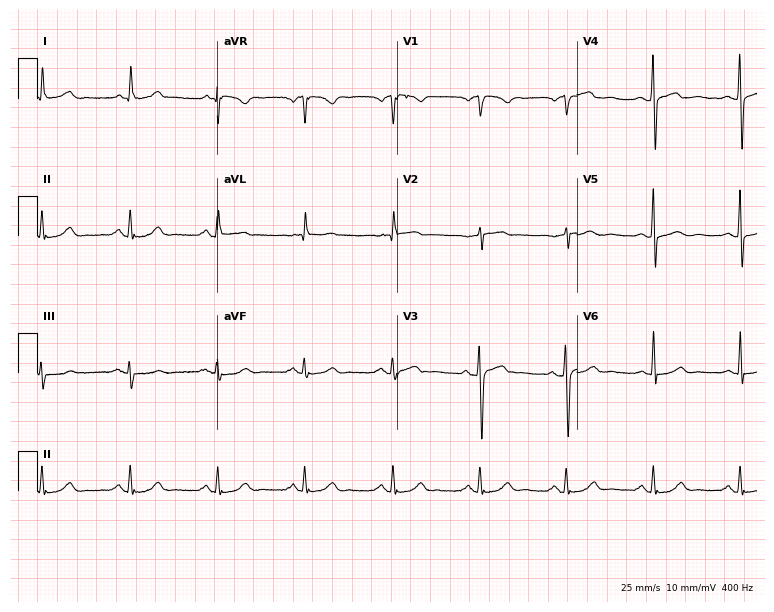
Resting 12-lead electrocardiogram. Patient: a 79-year-old man. Read as a normal ECG.